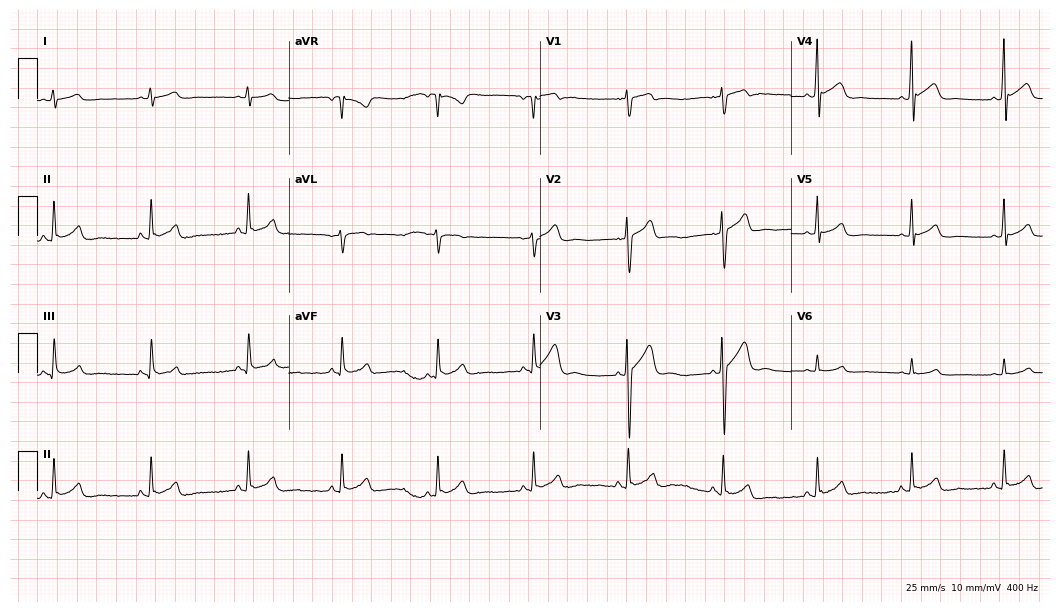
Standard 12-lead ECG recorded from an 18-year-old male (10.2-second recording at 400 Hz). None of these six findings is recorded: first-degree AV block, right bundle branch block (RBBB), left bundle branch block (LBBB), sinus bradycardia, atrial fibrillation (AF), sinus tachycardia.